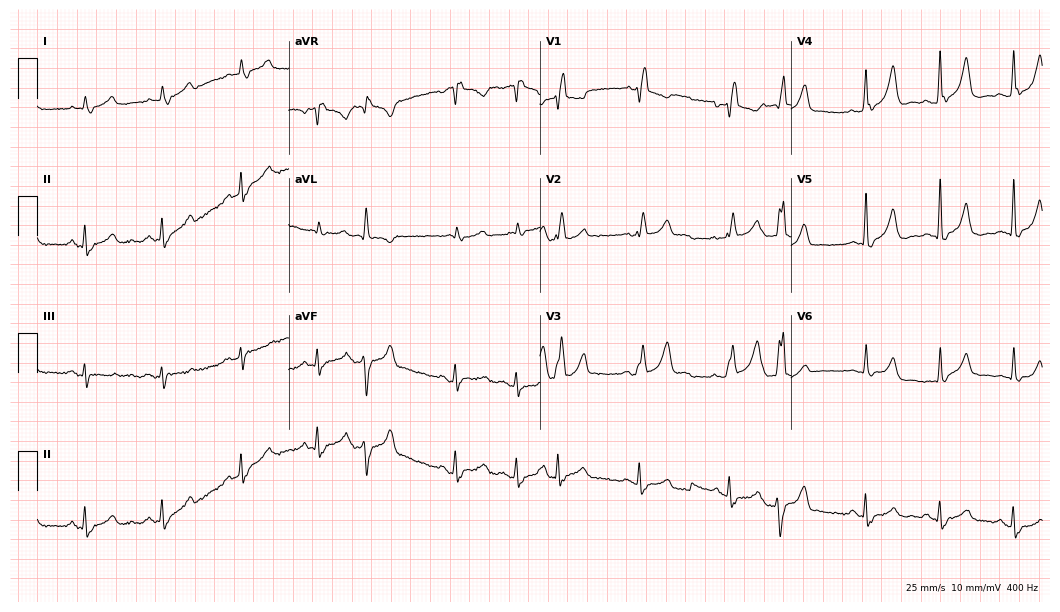
ECG (10.2-second recording at 400 Hz) — a male, 68 years old. Screened for six findings — first-degree AV block, right bundle branch block, left bundle branch block, sinus bradycardia, atrial fibrillation, sinus tachycardia — none is recorded.